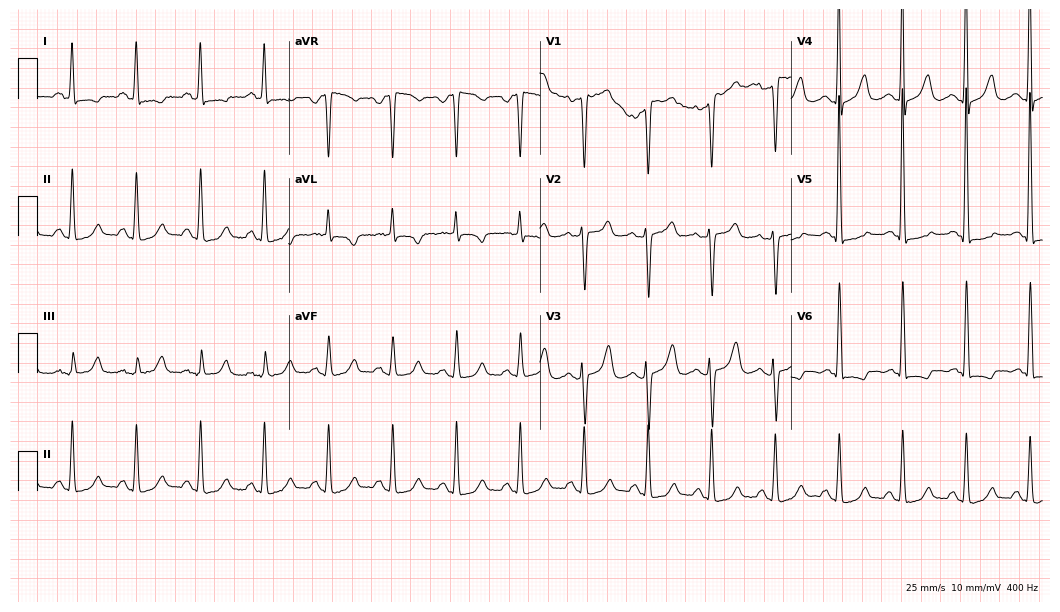
12-lead ECG (10.2-second recording at 400 Hz) from a female, 39 years old. Screened for six findings — first-degree AV block, right bundle branch block, left bundle branch block, sinus bradycardia, atrial fibrillation, sinus tachycardia — none is recorded. Findings outside these six are not listed.